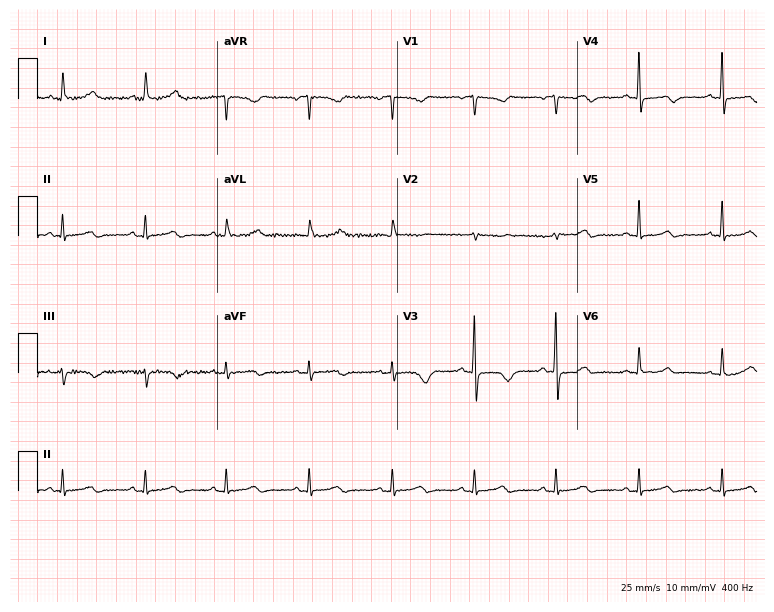
ECG (7.3-second recording at 400 Hz) — a 74-year-old woman. Screened for six findings — first-degree AV block, right bundle branch block, left bundle branch block, sinus bradycardia, atrial fibrillation, sinus tachycardia — none is recorded.